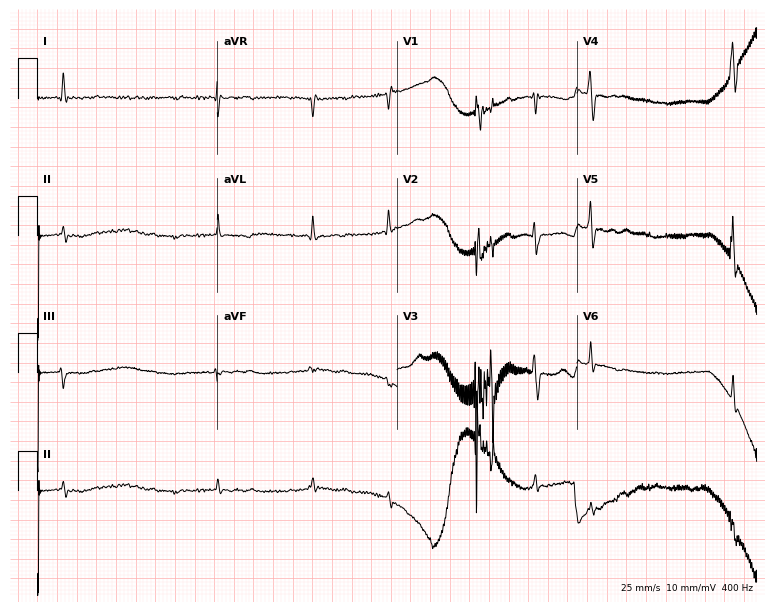
Electrocardiogram (7.3-second recording at 400 Hz), a male patient, 70 years old. Of the six screened findings (first-degree AV block, right bundle branch block (RBBB), left bundle branch block (LBBB), sinus bradycardia, atrial fibrillation (AF), sinus tachycardia), none is recorded.